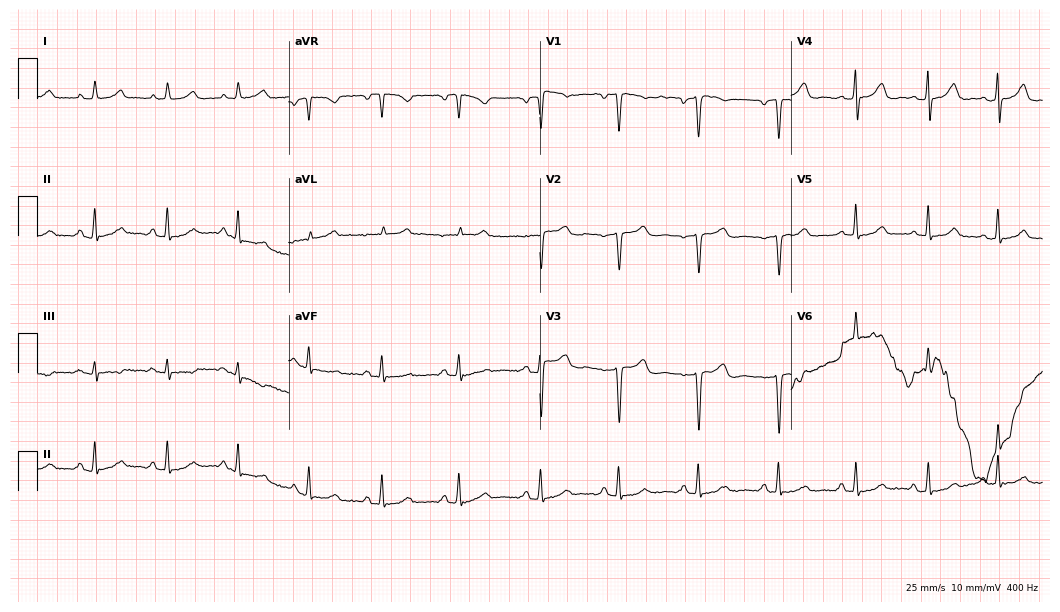
ECG (10.2-second recording at 400 Hz) — a 43-year-old woman. Labelled as a normal ECG.